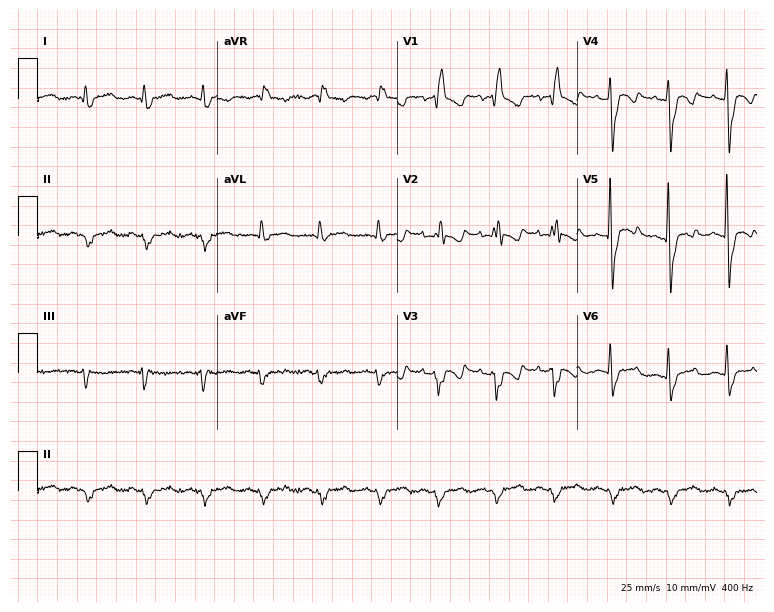
Electrocardiogram (7.3-second recording at 400 Hz), a man, 49 years old. Interpretation includes right bundle branch block (RBBB).